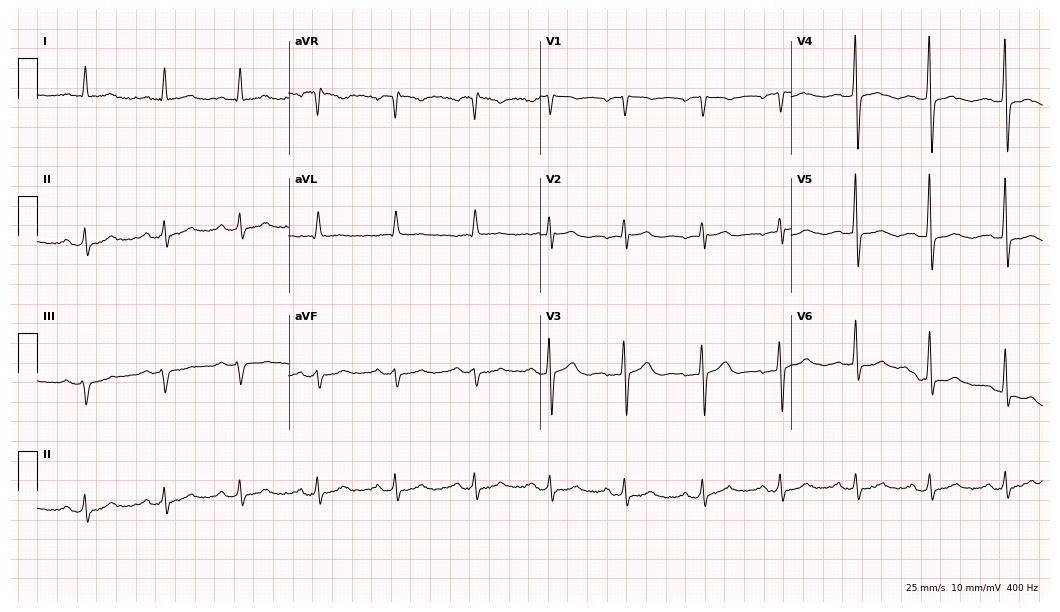
Standard 12-lead ECG recorded from a man, 72 years old (10.2-second recording at 400 Hz). The tracing shows first-degree AV block.